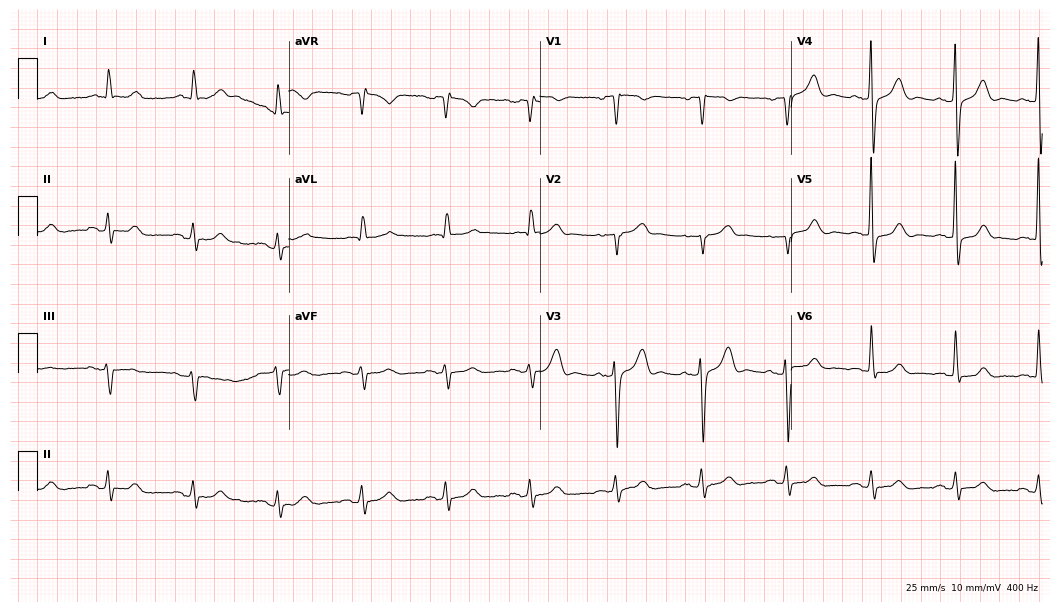
Electrocardiogram, an 81-year-old man. Of the six screened findings (first-degree AV block, right bundle branch block (RBBB), left bundle branch block (LBBB), sinus bradycardia, atrial fibrillation (AF), sinus tachycardia), none is recorded.